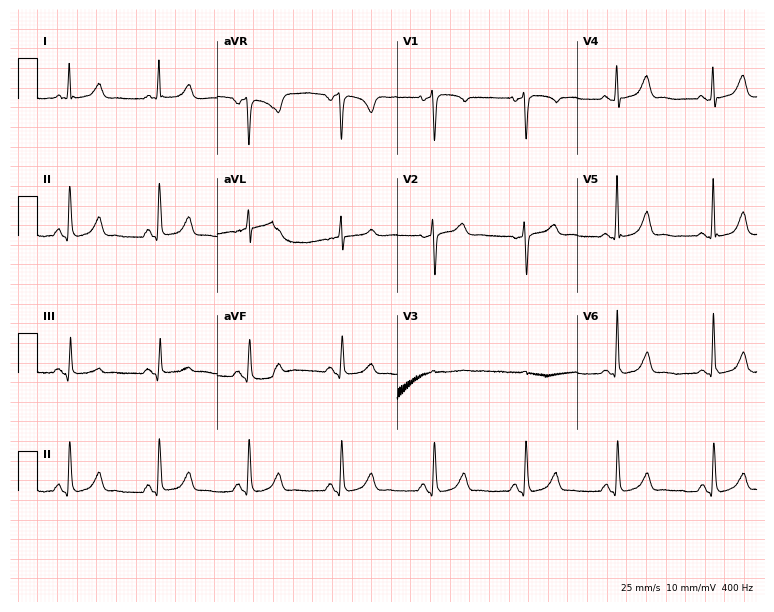
12-lead ECG from a 79-year-old female (7.3-second recording at 400 Hz). Recorded interpretation: within normal limits.